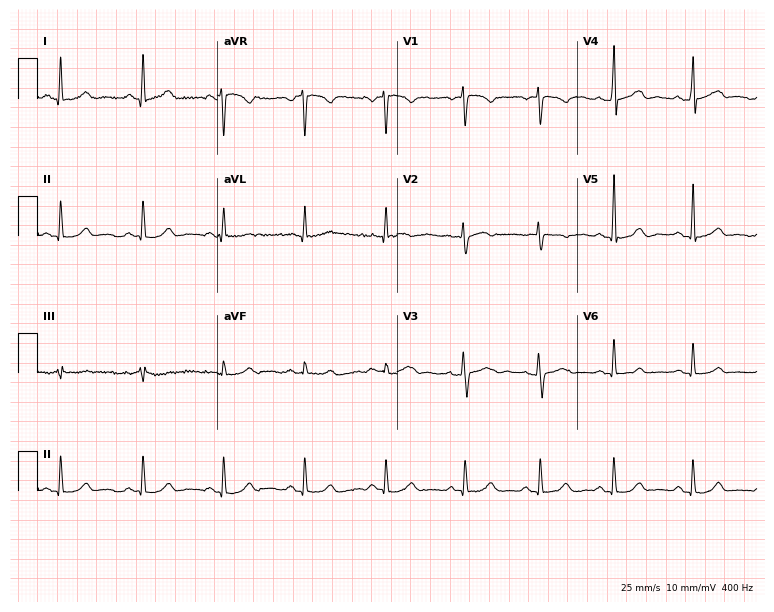
12-lead ECG from a female patient, 34 years old. Labelled as a normal ECG.